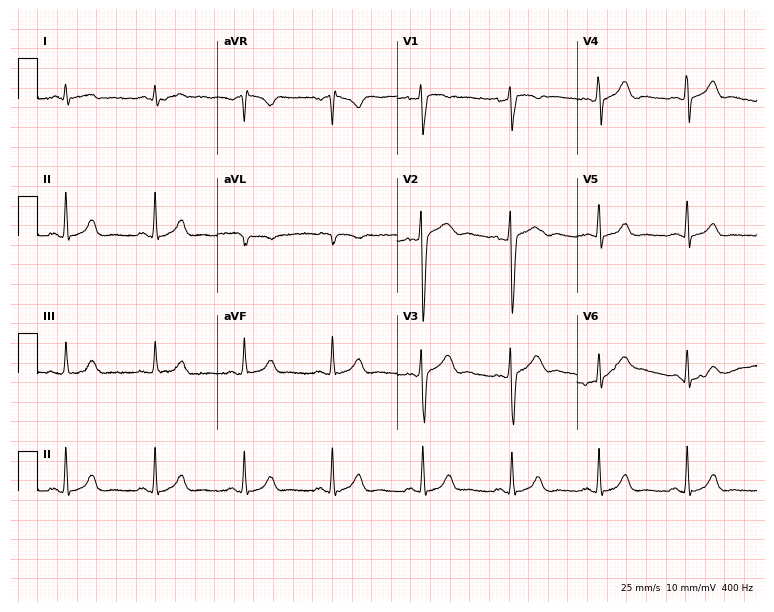
Electrocardiogram, a 64-year-old man. Overall reading on record: normal ECG.